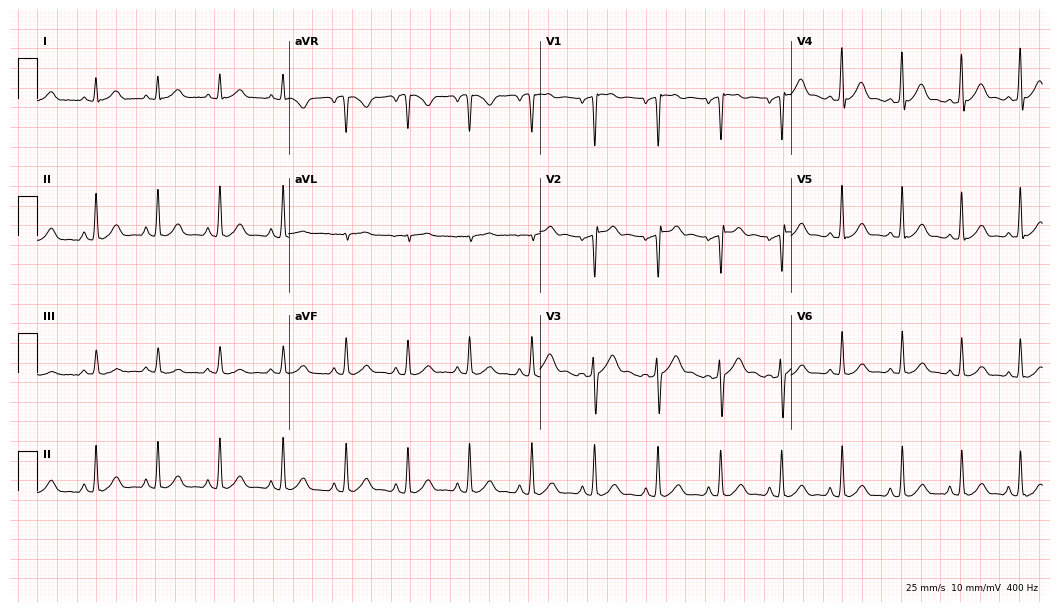
Resting 12-lead electrocardiogram. Patient: a male, 45 years old. None of these six findings is recorded: first-degree AV block, right bundle branch block, left bundle branch block, sinus bradycardia, atrial fibrillation, sinus tachycardia.